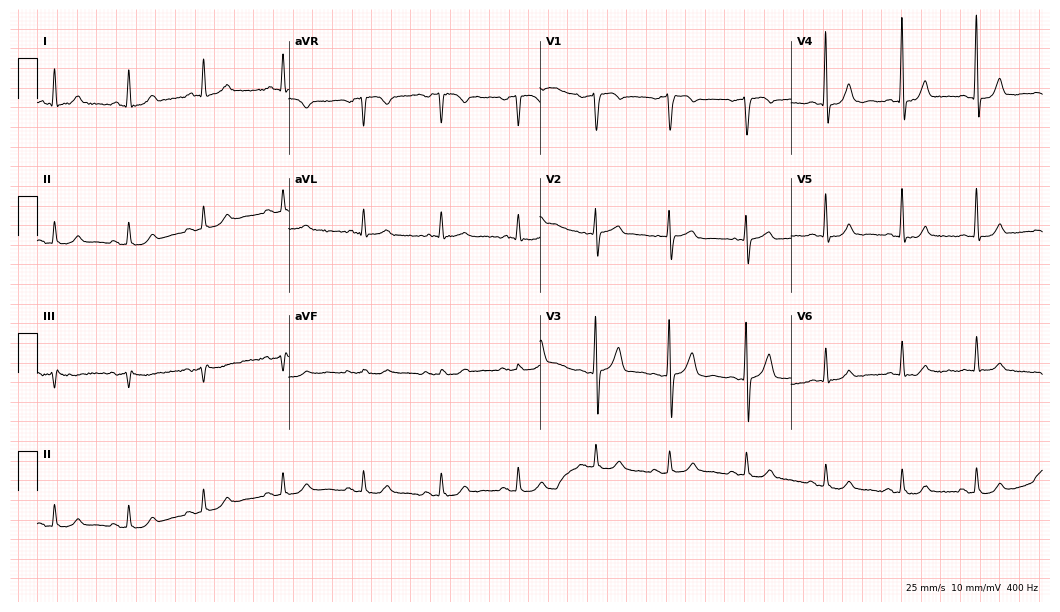
ECG (10.2-second recording at 400 Hz) — a 71-year-old female patient. Labelled as a normal ECG.